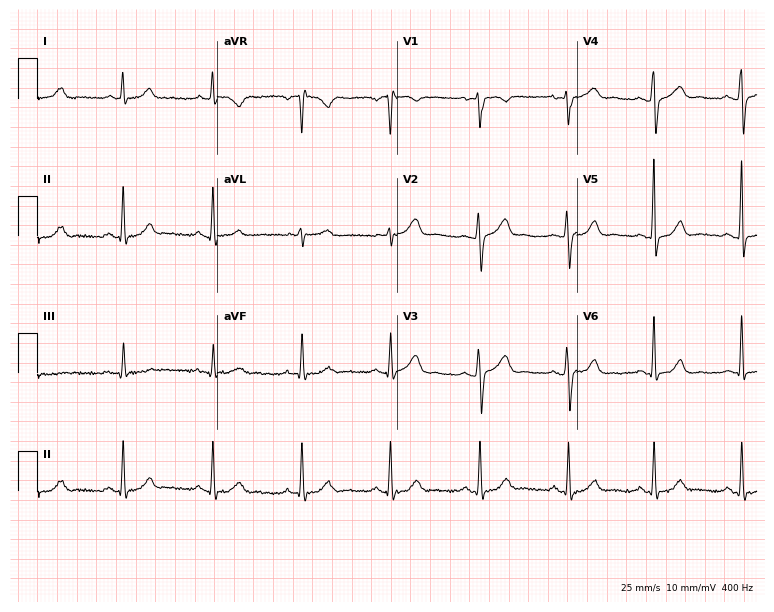
Electrocardiogram (7.3-second recording at 400 Hz), a 44-year-old male patient. Of the six screened findings (first-degree AV block, right bundle branch block, left bundle branch block, sinus bradycardia, atrial fibrillation, sinus tachycardia), none is recorded.